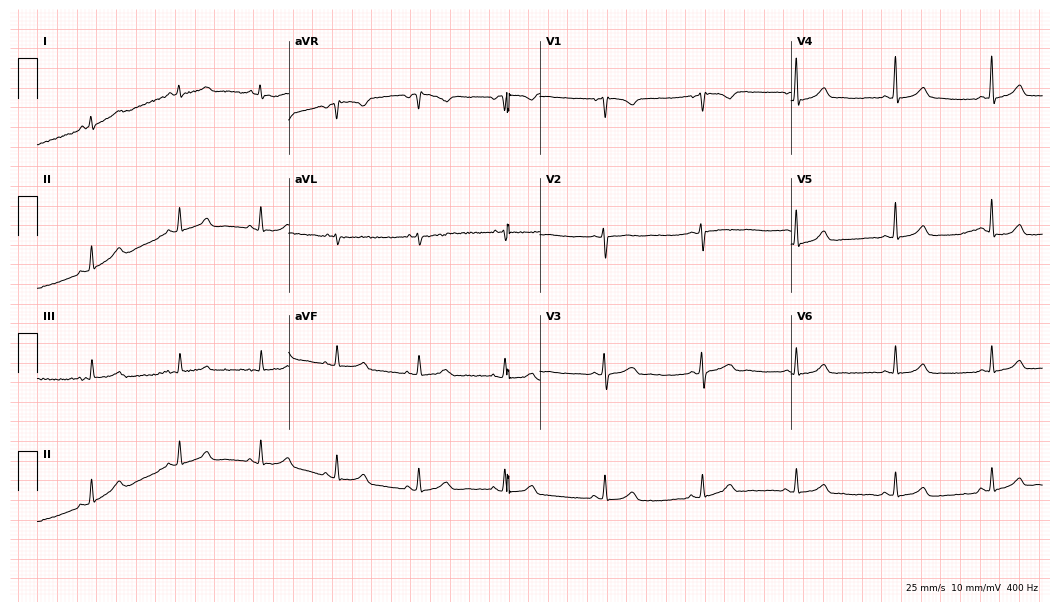
12-lead ECG from a female, 28 years old. No first-degree AV block, right bundle branch block, left bundle branch block, sinus bradycardia, atrial fibrillation or sinus tachycardia recorded for this tracing.